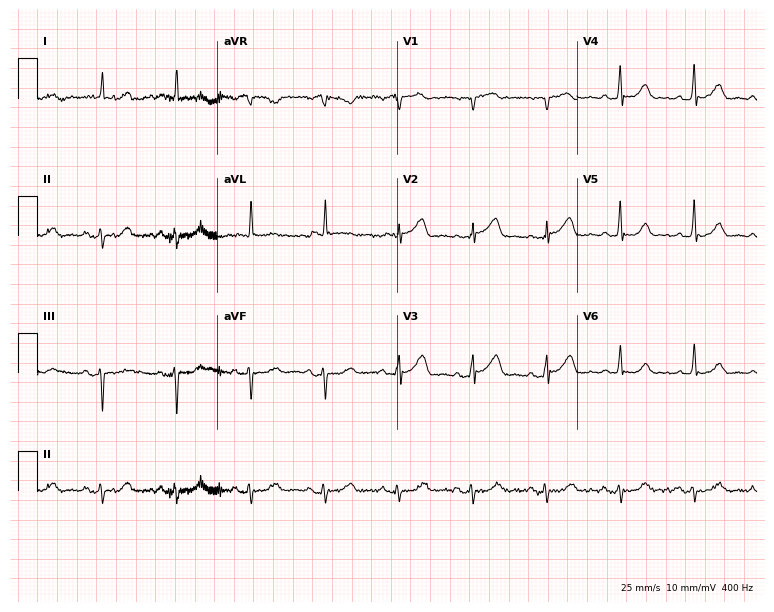
Standard 12-lead ECG recorded from a male patient, 84 years old. None of these six findings is recorded: first-degree AV block, right bundle branch block (RBBB), left bundle branch block (LBBB), sinus bradycardia, atrial fibrillation (AF), sinus tachycardia. Other findings, if any, are not listed.